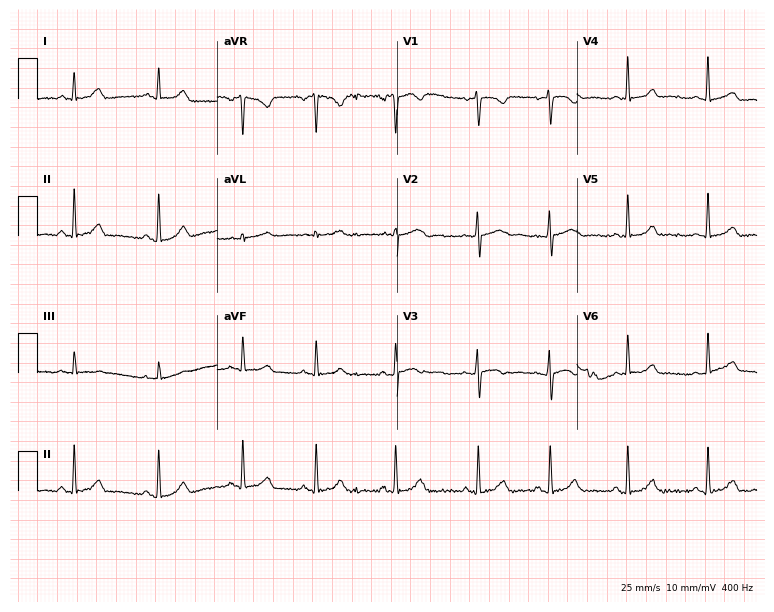
12-lead ECG (7.3-second recording at 400 Hz) from a 24-year-old female. Labelled as a normal ECG.